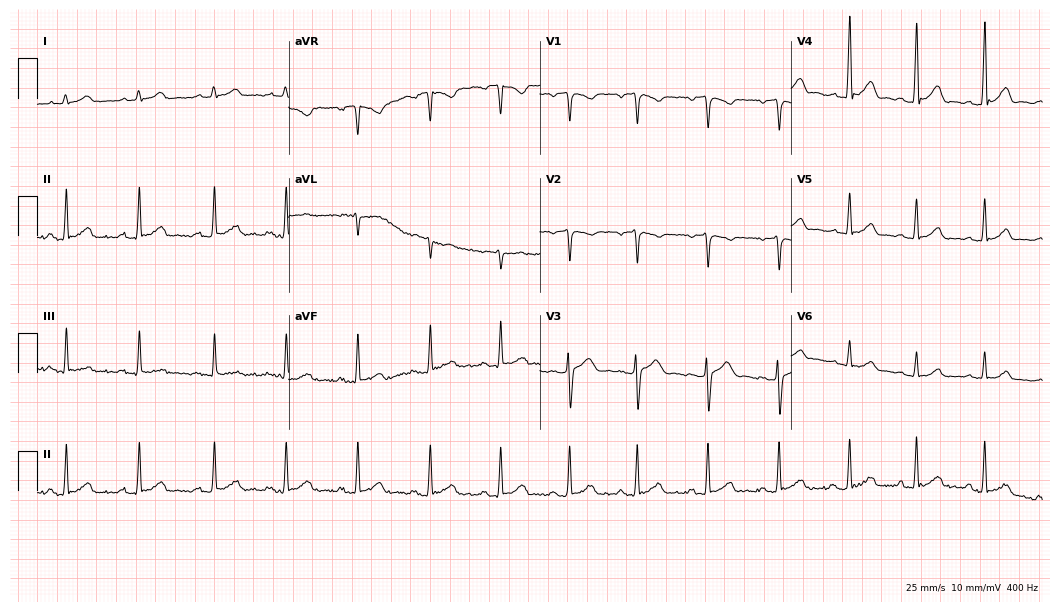
12-lead ECG from a man, 22 years old. Labelled as a normal ECG.